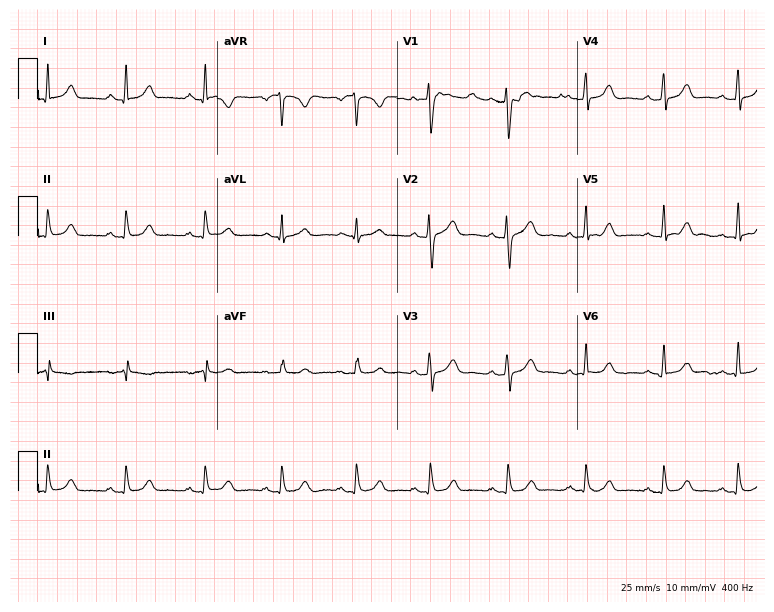
ECG (7.3-second recording at 400 Hz) — a female, 36 years old. Labelled as a normal ECG.